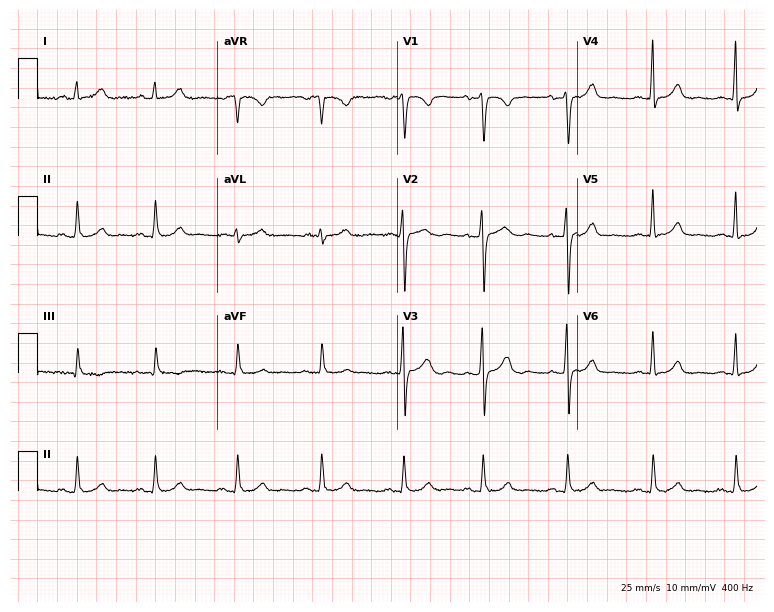
ECG — a 41-year-old female patient. Screened for six findings — first-degree AV block, right bundle branch block (RBBB), left bundle branch block (LBBB), sinus bradycardia, atrial fibrillation (AF), sinus tachycardia — none is recorded. Only these six findings were labelled.